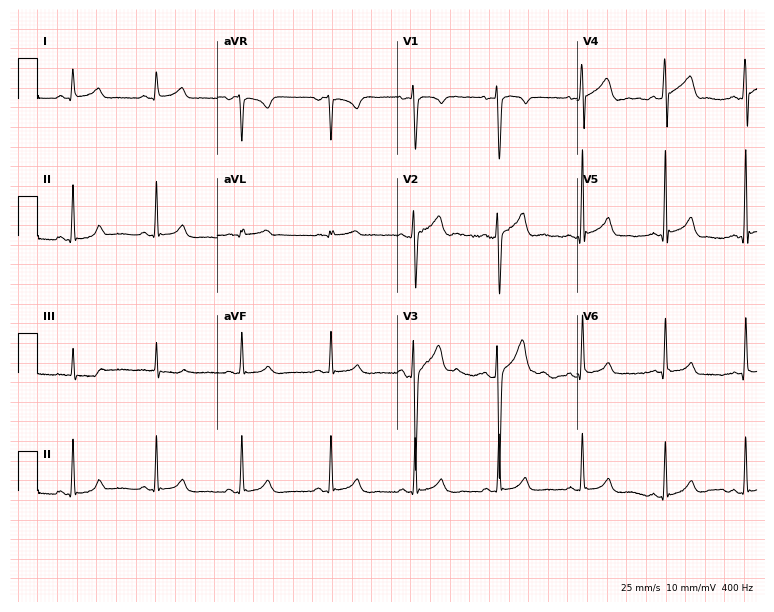
Standard 12-lead ECG recorded from a female, 28 years old (7.3-second recording at 400 Hz). None of these six findings is recorded: first-degree AV block, right bundle branch block, left bundle branch block, sinus bradycardia, atrial fibrillation, sinus tachycardia. Only these six findings were labelled.